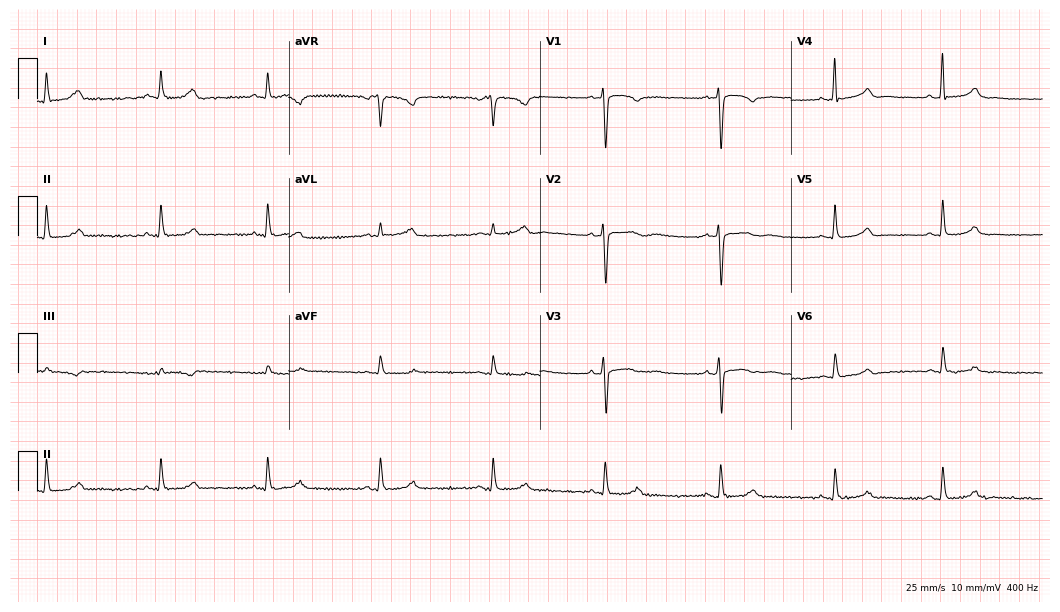
12-lead ECG (10.2-second recording at 400 Hz) from a 39-year-old female. Labelled as a normal ECG.